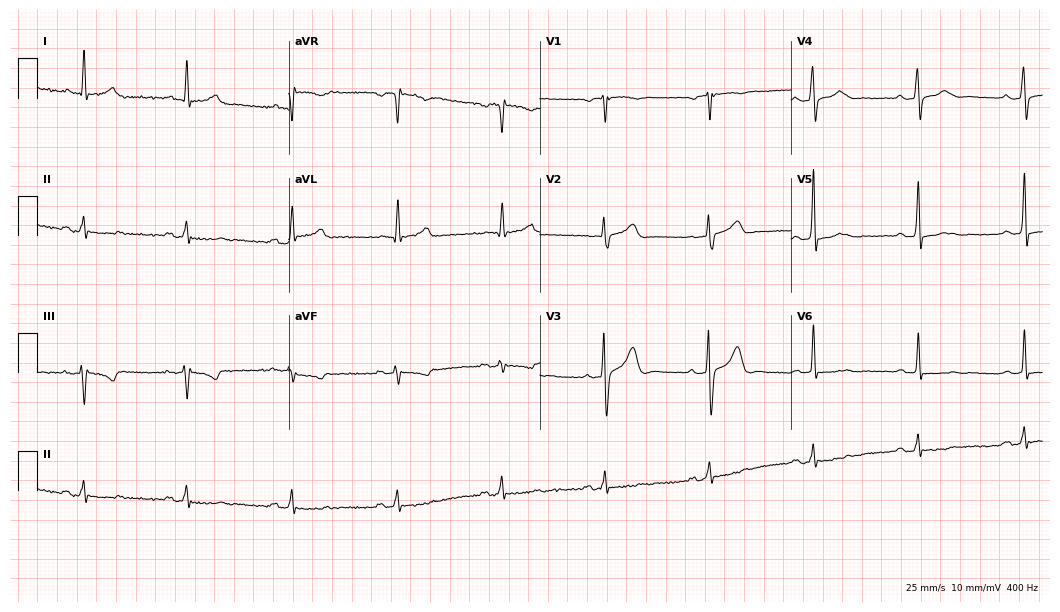
12-lead ECG from a male, 74 years old. Screened for six findings — first-degree AV block, right bundle branch block, left bundle branch block, sinus bradycardia, atrial fibrillation, sinus tachycardia — none is recorded.